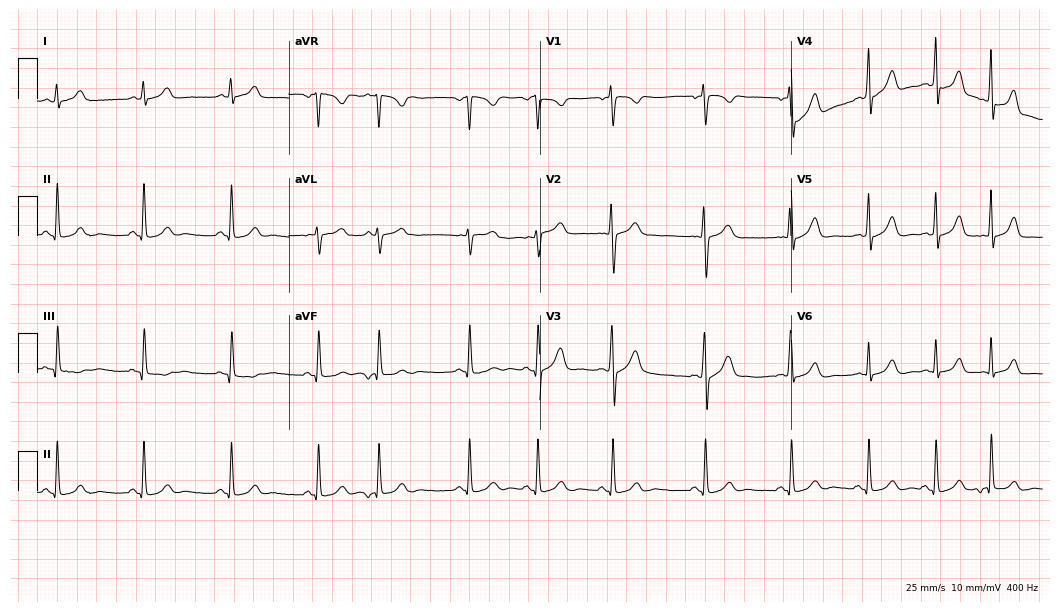
12-lead ECG from a woman, 20 years old (10.2-second recording at 400 Hz). No first-degree AV block, right bundle branch block (RBBB), left bundle branch block (LBBB), sinus bradycardia, atrial fibrillation (AF) or sinus tachycardia recorded for this tracing.